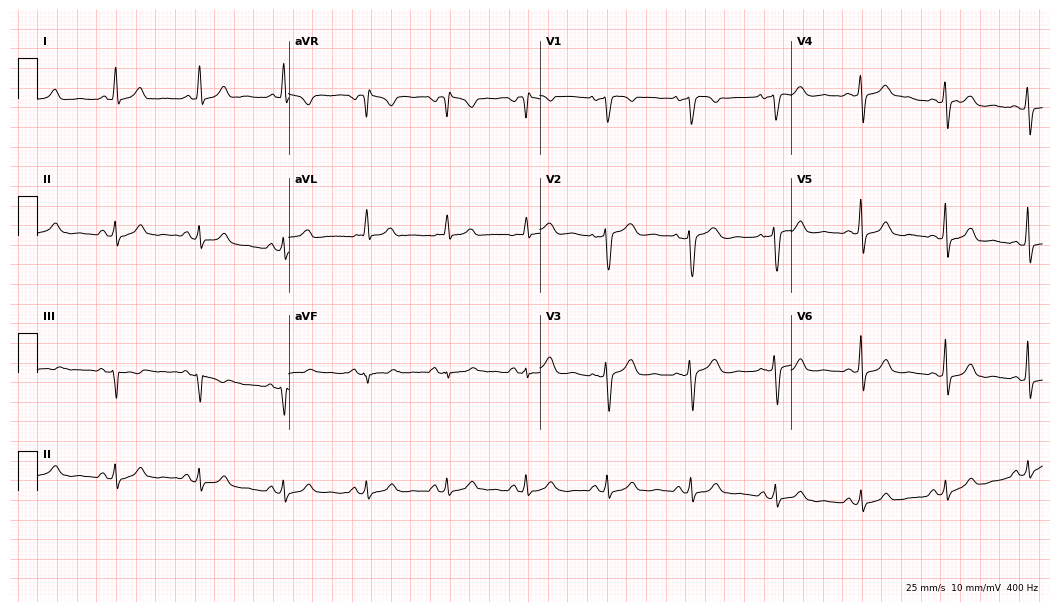
Electrocardiogram, a 62-year-old woman. Of the six screened findings (first-degree AV block, right bundle branch block, left bundle branch block, sinus bradycardia, atrial fibrillation, sinus tachycardia), none is recorded. Findings outside these six are not listed.